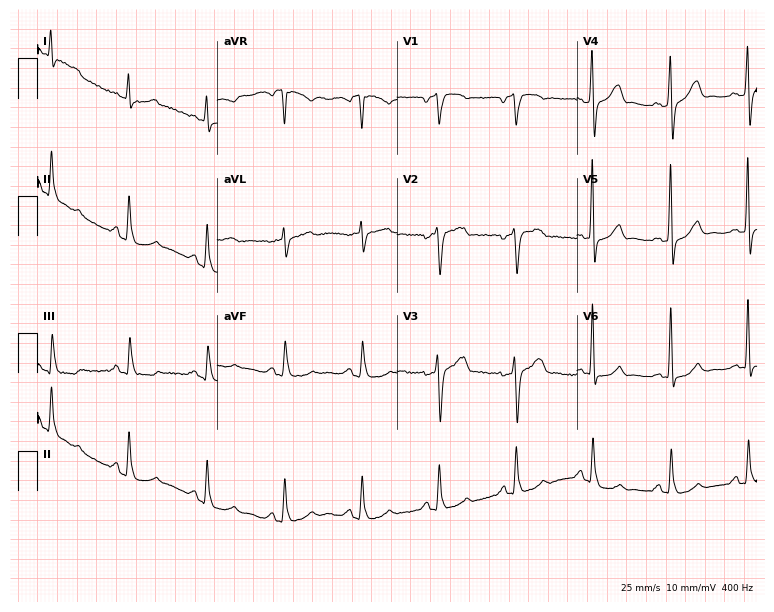
Standard 12-lead ECG recorded from a male patient, 64 years old (7.3-second recording at 400 Hz). None of these six findings is recorded: first-degree AV block, right bundle branch block, left bundle branch block, sinus bradycardia, atrial fibrillation, sinus tachycardia. Only these six findings were labelled.